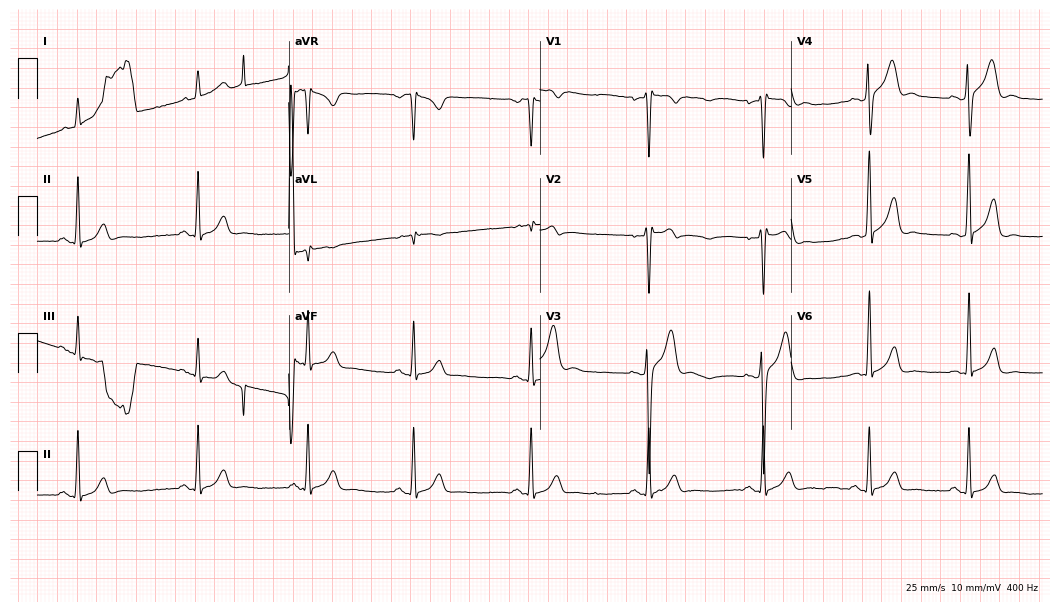
12-lead ECG (10.2-second recording at 400 Hz) from a 27-year-old male patient. Labelled as a normal ECG.